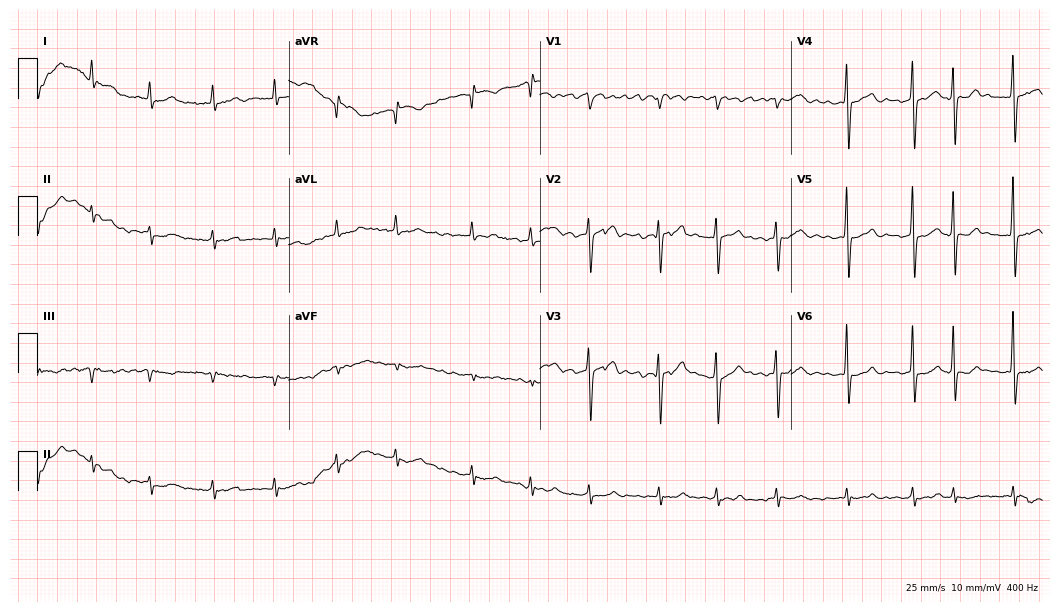
Standard 12-lead ECG recorded from a 77-year-old male patient. The tracing shows atrial fibrillation.